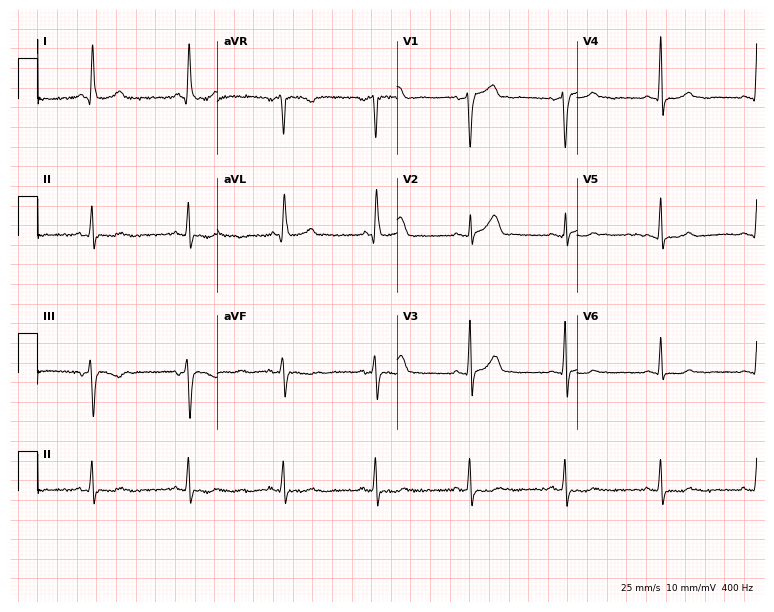
12-lead ECG (7.3-second recording at 400 Hz) from a 56-year-old woman. Labelled as a normal ECG.